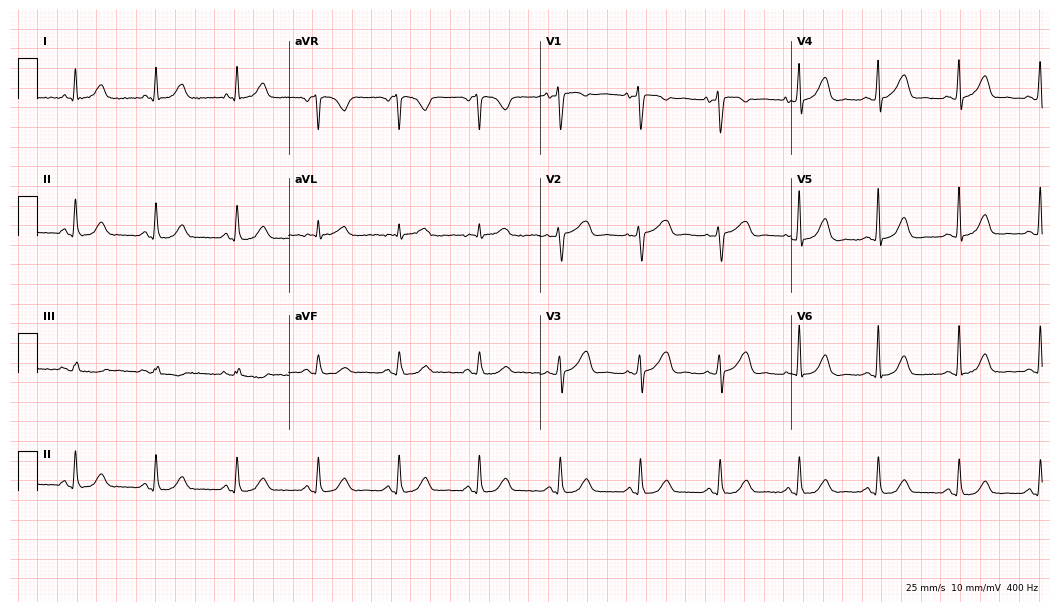
Resting 12-lead electrocardiogram. Patient: a female, 51 years old. None of these six findings is recorded: first-degree AV block, right bundle branch block, left bundle branch block, sinus bradycardia, atrial fibrillation, sinus tachycardia.